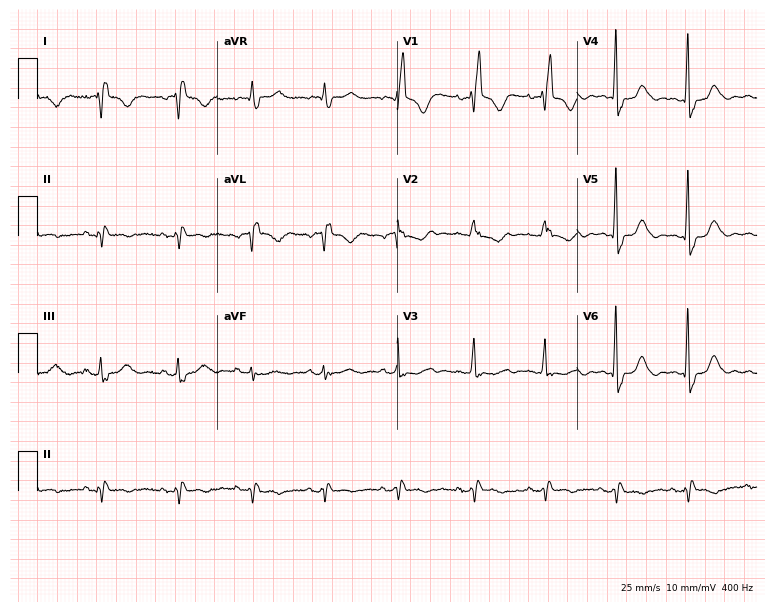
12-lead ECG (7.3-second recording at 400 Hz) from a female patient, 66 years old. Findings include right bundle branch block.